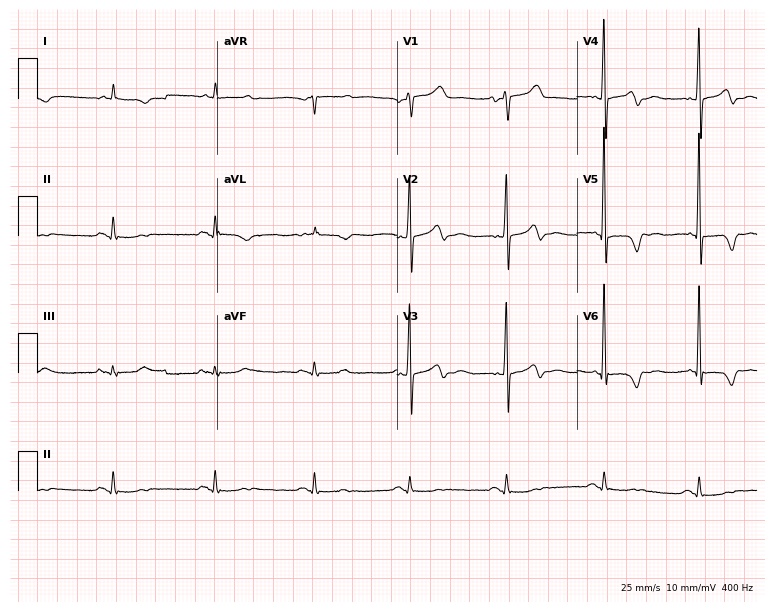
Standard 12-lead ECG recorded from a male patient, 66 years old. None of these six findings is recorded: first-degree AV block, right bundle branch block (RBBB), left bundle branch block (LBBB), sinus bradycardia, atrial fibrillation (AF), sinus tachycardia.